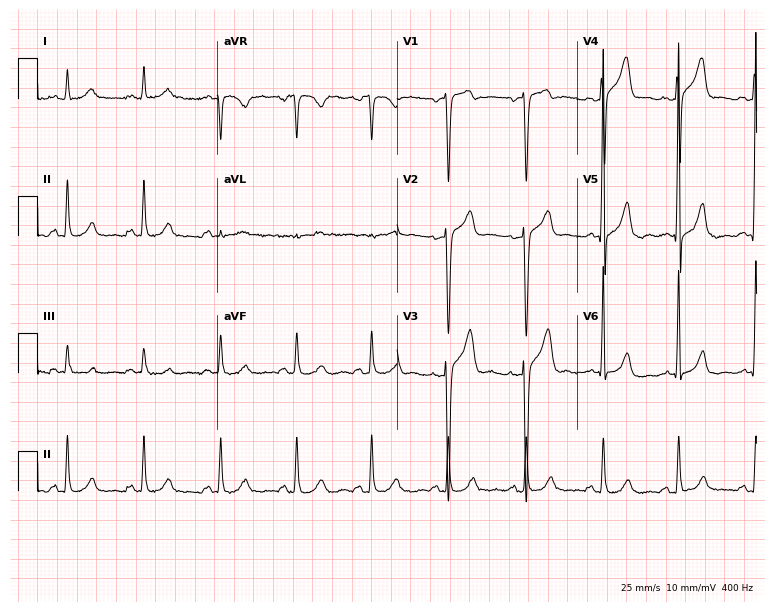
Resting 12-lead electrocardiogram (7.3-second recording at 400 Hz). Patient: a male, 68 years old. None of these six findings is recorded: first-degree AV block, right bundle branch block, left bundle branch block, sinus bradycardia, atrial fibrillation, sinus tachycardia. Other findings, if any, are not listed.